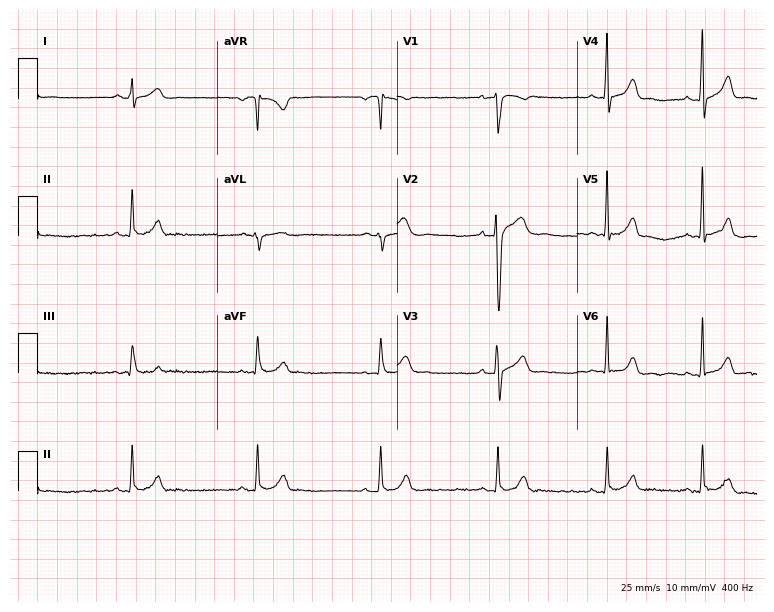
Electrocardiogram (7.3-second recording at 400 Hz), a 23-year-old male patient. Of the six screened findings (first-degree AV block, right bundle branch block, left bundle branch block, sinus bradycardia, atrial fibrillation, sinus tachycardia), none is recorded. Other findings, if any, are not listed.